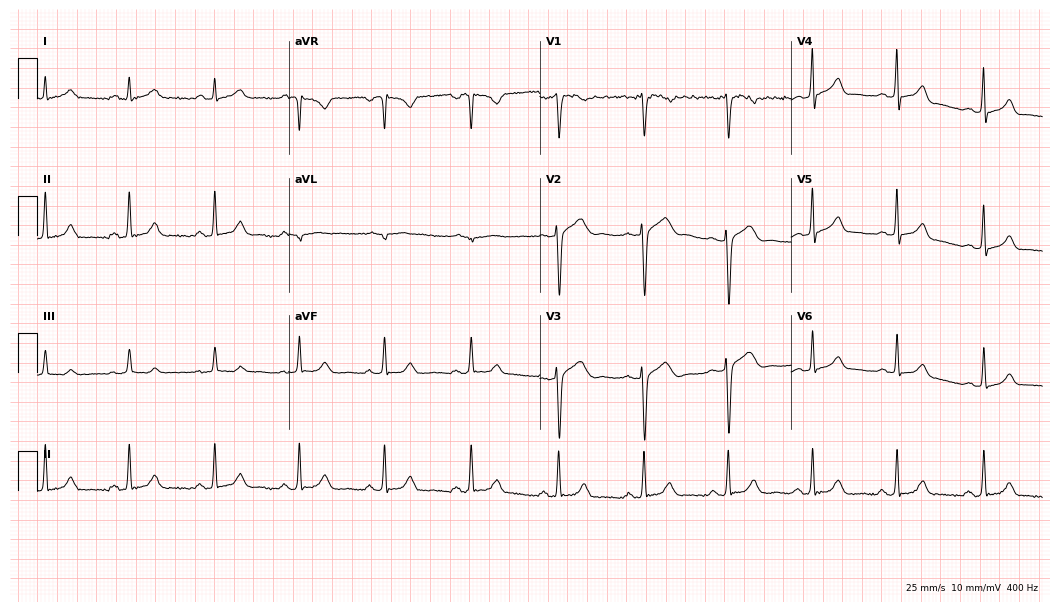
Standard 12-lead ECG recorded from a 45-year-old man (10.2-second recording at 400 Hz). None of these six findings is recorded: first-degree AV block, right bundle branch block (RBBB), left bundle branch block (LBBB), sinus bradycardia, atrial fibrillation (AF), sinus tachycardia.